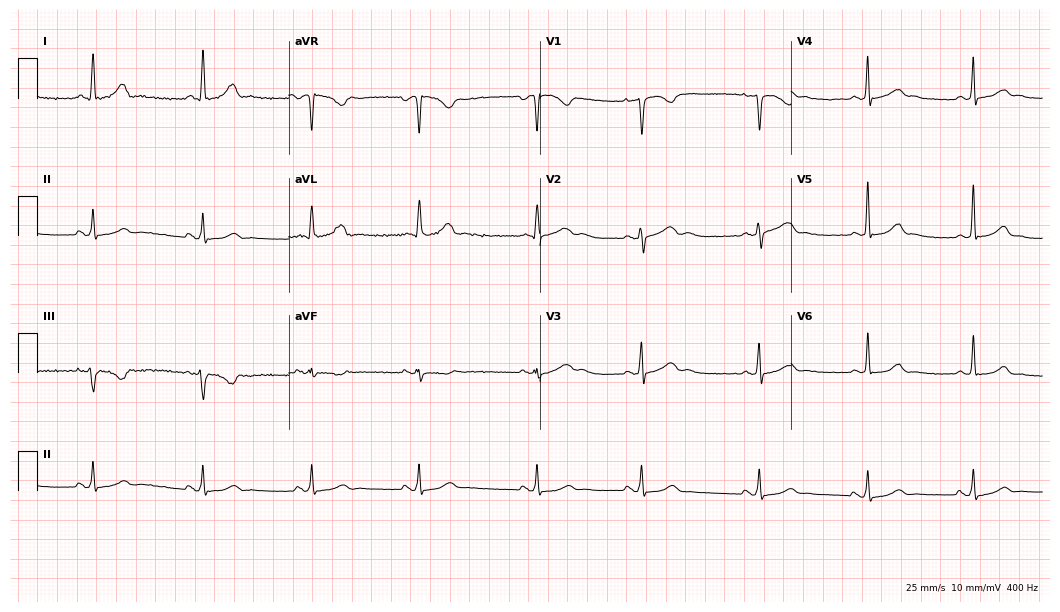
12-lead ECG from a 31-year-old female patient. No first-degree AV block, right bundle branch block, left bundle branch block, sinus bradycardia, atrial fibrillation or sinus tachycardia recorded for this tracing. Only these six findings were labelled.